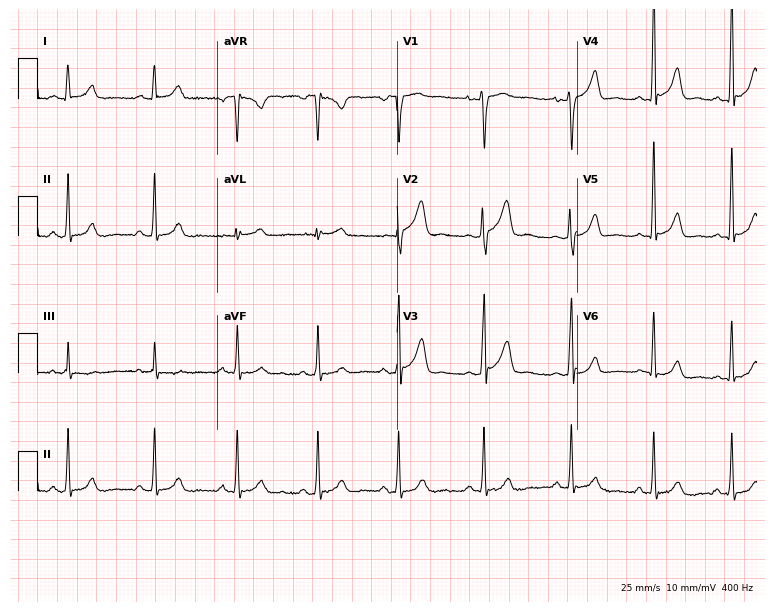
12-lead ECG from a male, 28 years old. Labelled as a normal ECG.